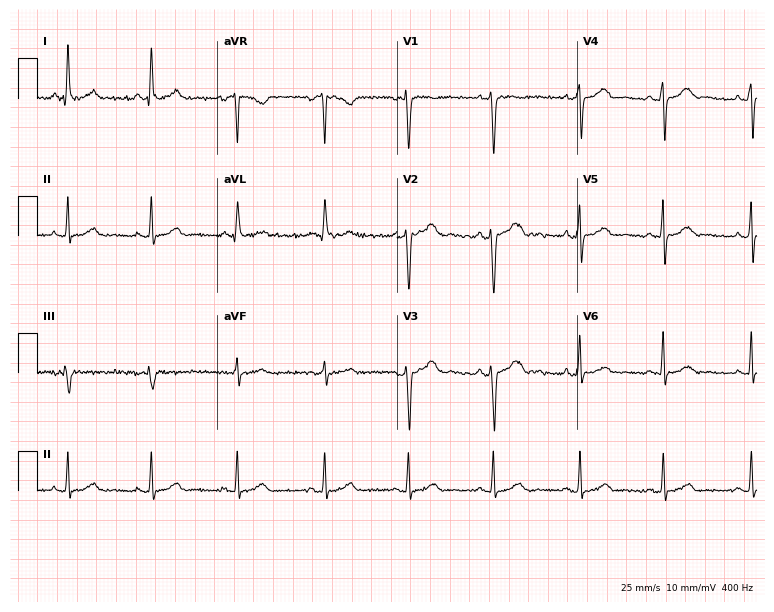
12-lead ECG (7.3-second recording at 400 Hz) from a woman, 34 years old. Labelled as a normal ECG.